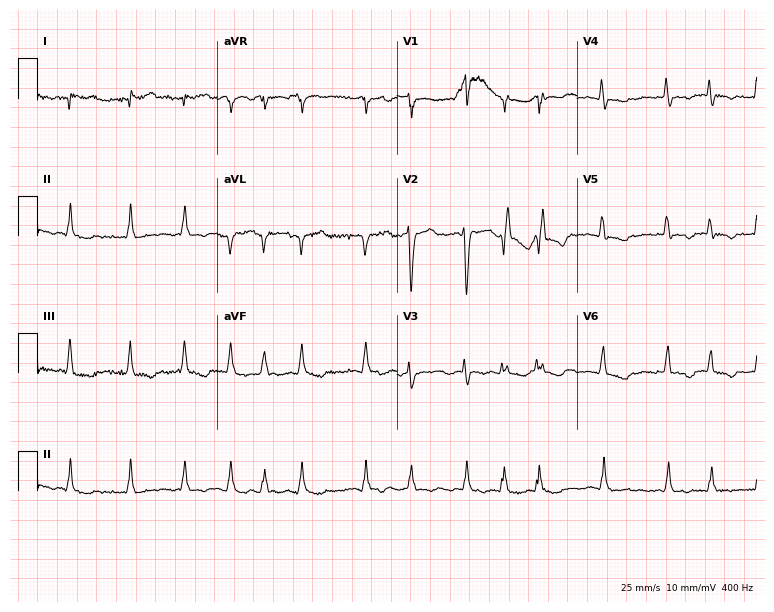
12-lead ECG (7.3-second recording at 400 Hz) from a 60-year-old woman. Screened for six findings — first-degree AV block, right bundle branch block, left bundle branch block, sinus bradycardia, atrial fibrillation, sinus tachycardia — none is recorded.